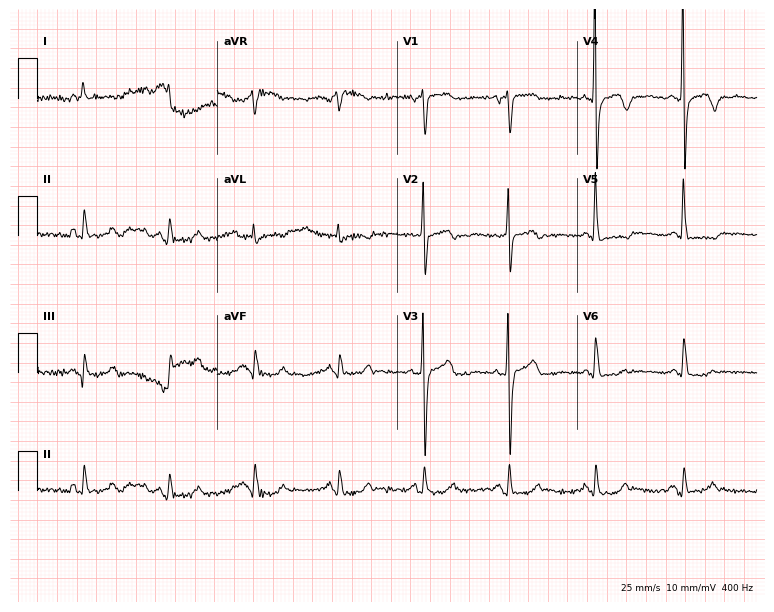
Electrocardiogram, a 73-year-old female. Of the six screened findings (first-degree AV block, right bundle branch block (RBBB), left bundle branch block (LBBB), sinus bradycardia, atrial fibrillation (AF), sinus tachycardia), none is recorded.